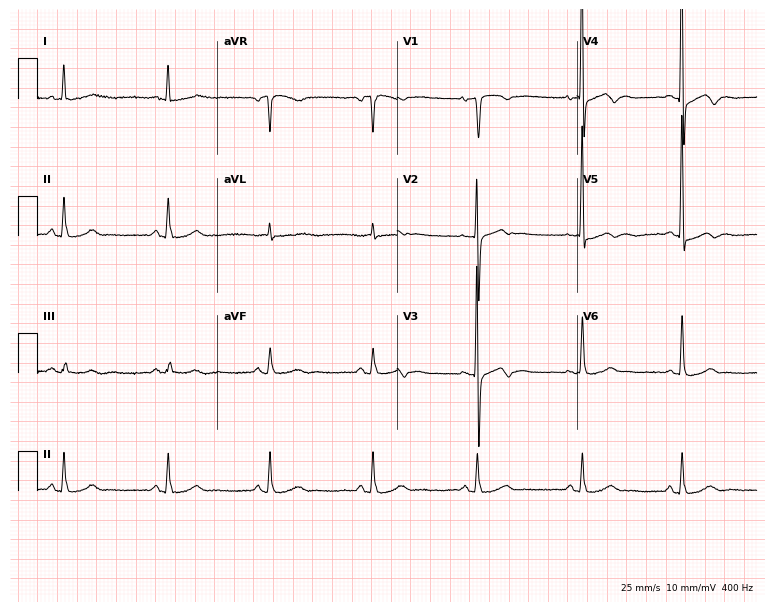
ECG — a 64-year-old female patient. Screened for six findings — first-degree AV block, right bundle branch block, left bundle branch block, sinus bradycardia, atrial fibrillation, sinus tachycardia — none is recorded. Findings outside these six are not listed.